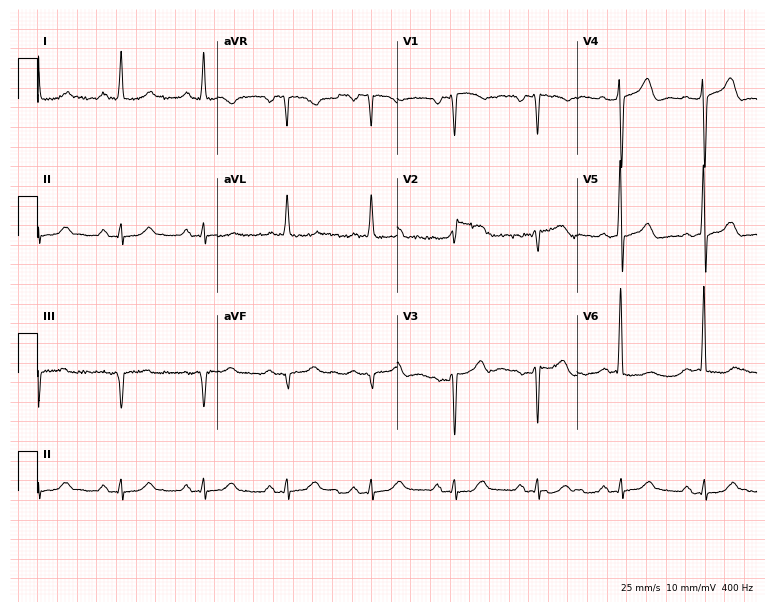
Electrocardiogram (7.3-second recording at 400 Hz), a man, 58 years old. Of the six screened findings (first-degree AV block, right bundle branch block, left bundle branch block, sinus bradycardia, atrial fibrillation, sinus tachycardia), none is recorded. Other findings, if any, are not listed.